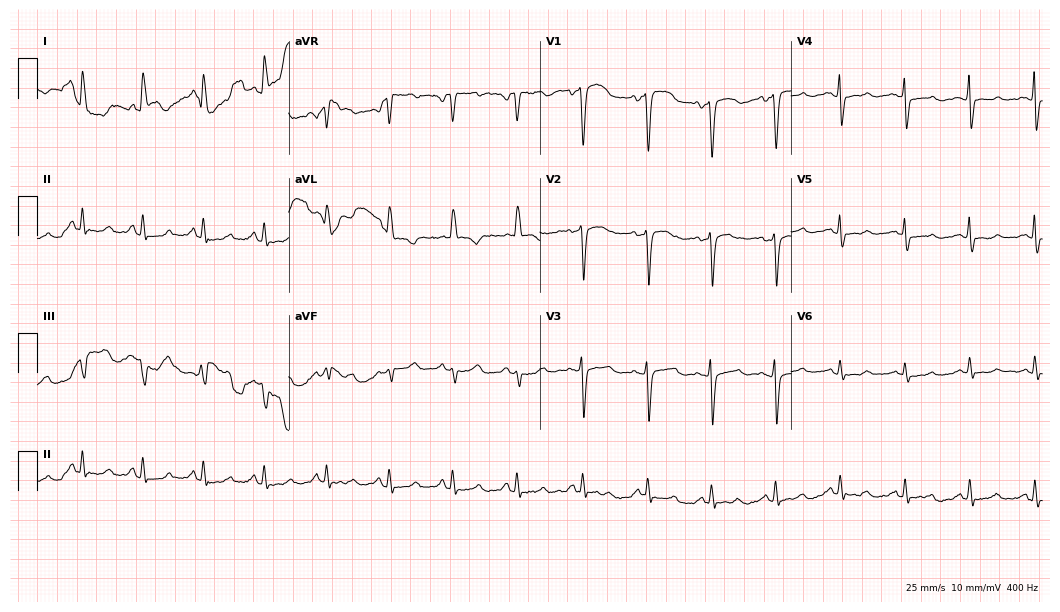
Standard 12-lead ECG recorded from a female, 78 years old. None of these six findings is recorded: first-degree AV block, right bundle branch block, left bundle branch block, sinus bradycardia, atrial fibrillation, sinus tachycardia.